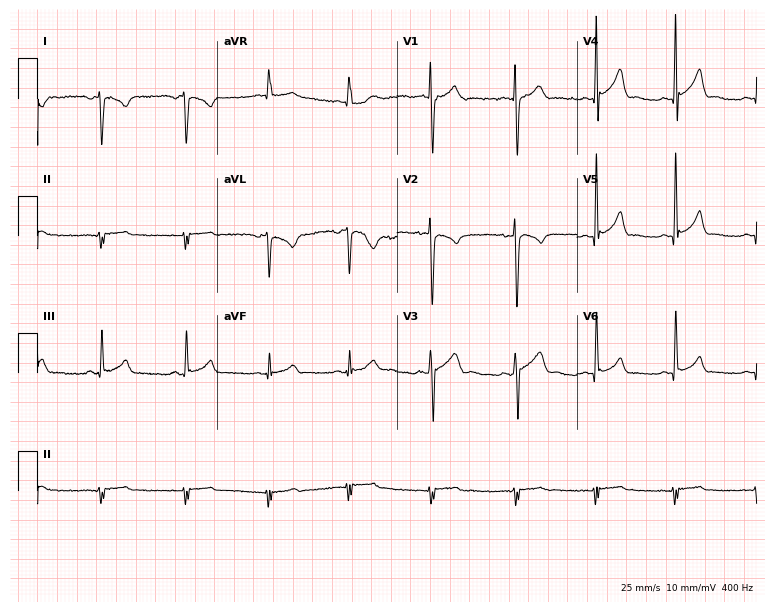
Standard 12-lead ECG recorded from a 17-year-old man. None of these six findings is recorded: first-degree AV block, right bundle branch block, left bundle branch block, sinus bradycardia, atrial fibrillation, sinus tachycardia.